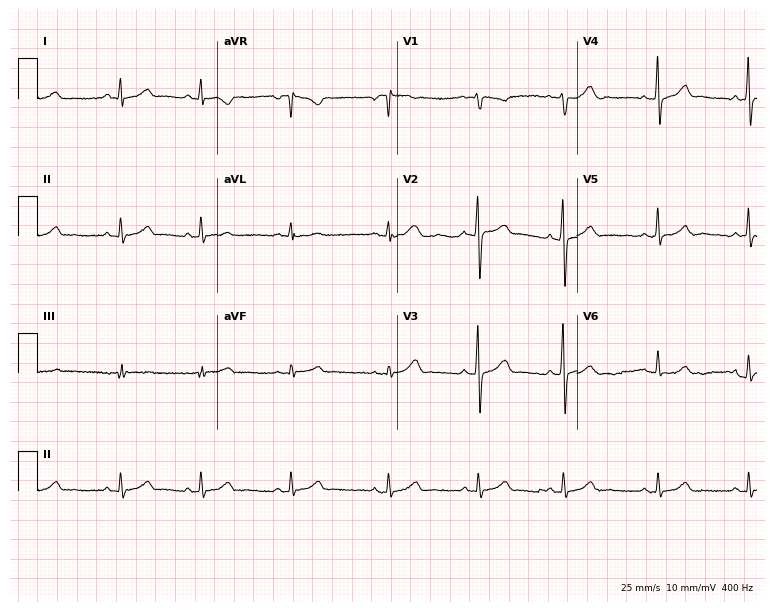
ECG (7.3-second recording at 400 Hz) — a female, 38 years old. Labelled as a normal ECG.